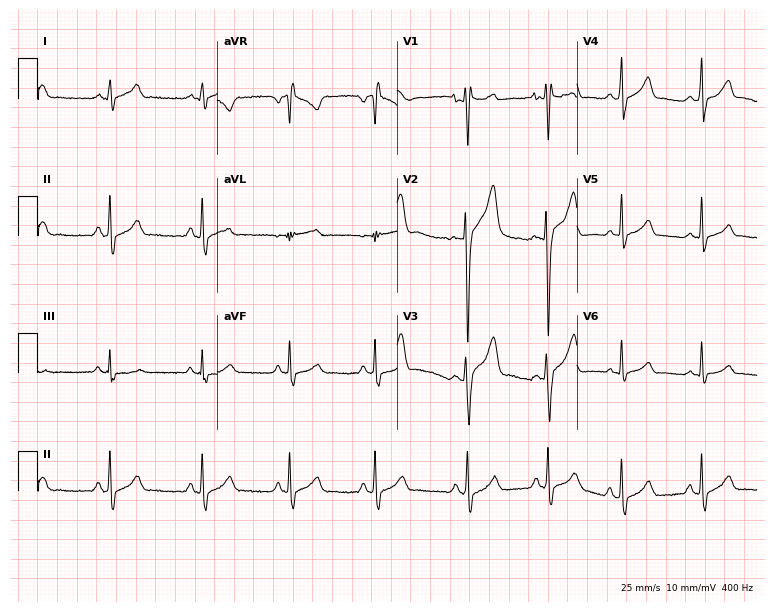
12-lead ECG from a 19-year-old man. Recorded interpretation: within normal limits.